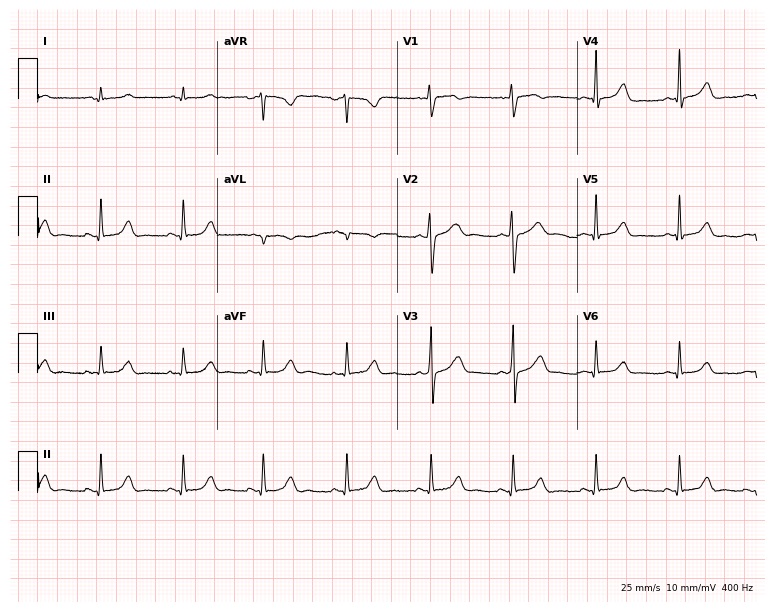
Standard 12-lead ECG recorded from a woman, 26 years old. Read as a normal ECG.